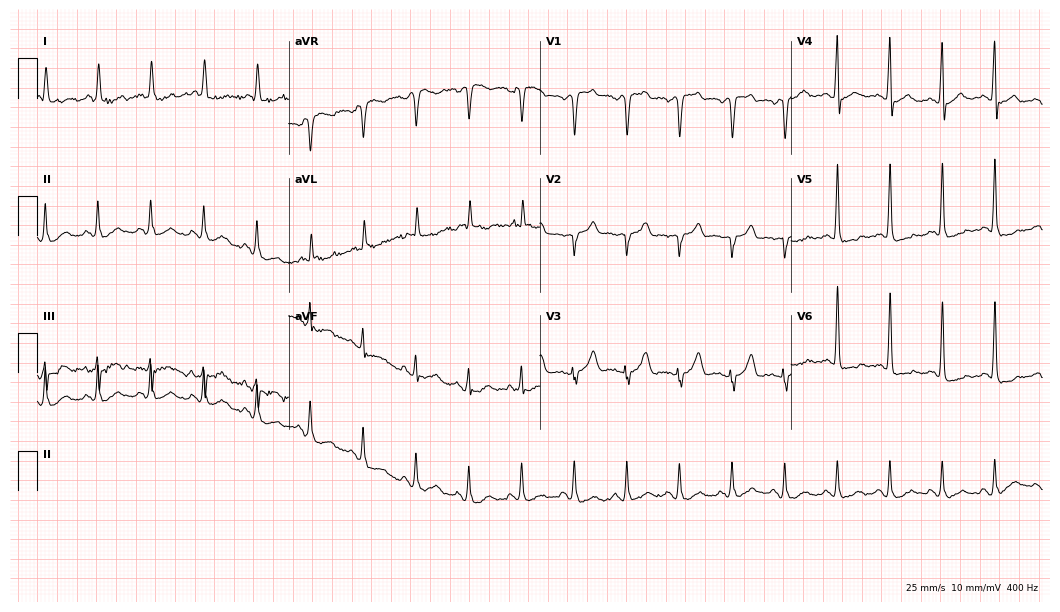
12-lead ECG (10.2-second recording at 400 Hz) from a 72-year-old man. Findings include sinus tachycardia (a sinus rate of 100 beats per minute or more).